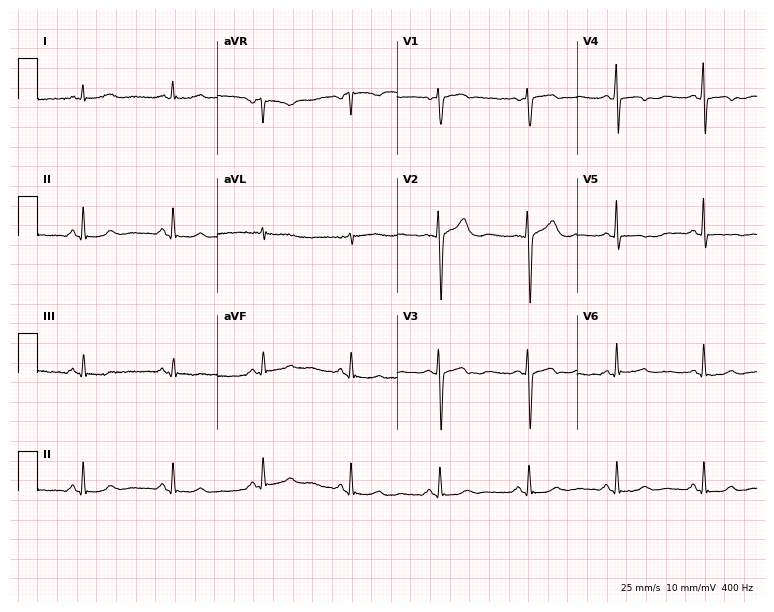
12-lead ECG from a 55-year-old female (7.3-second recording at 400 Hz). Recorded interpretation: within normal limits.